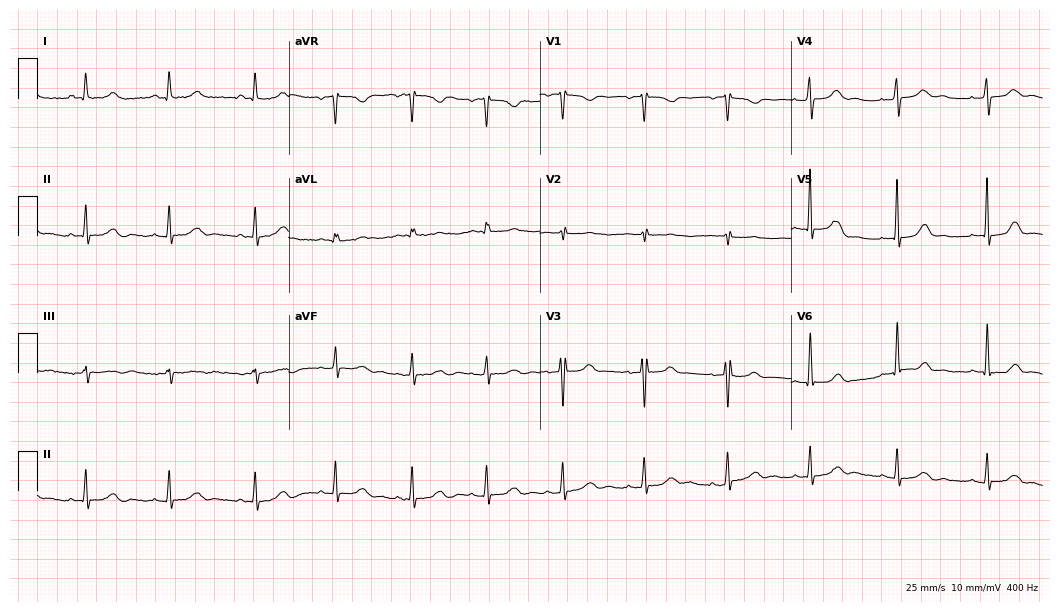
Resting 12-lead electrocardiogram (10.2-second recording at 400 Hz). Patient: a female, 41 years old. Read as a normal ECG.